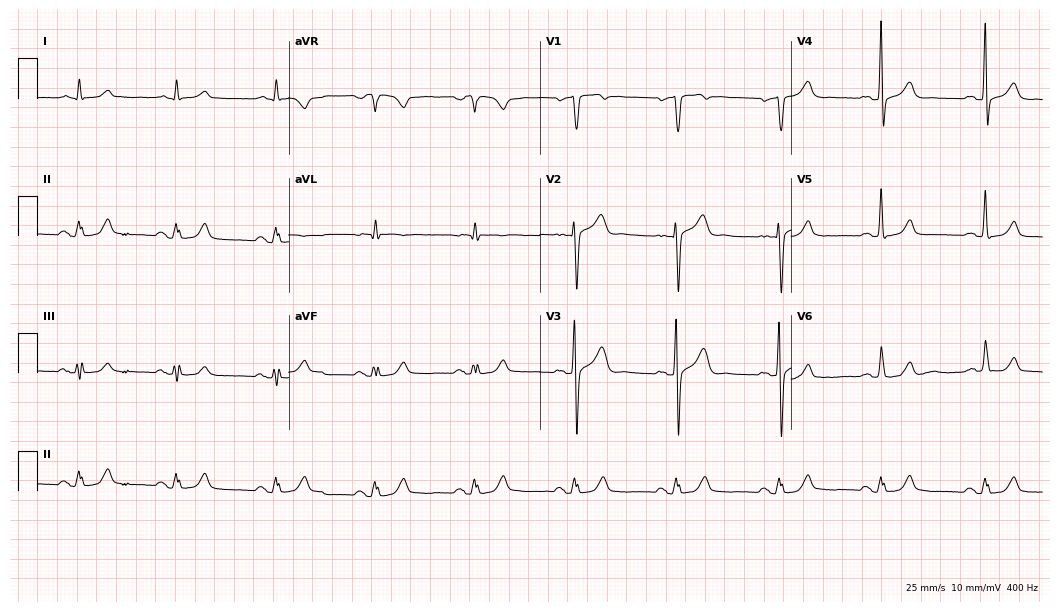
Standard 12-lead ECG recorded from a 56-year-old male. Read as a normal ECG.